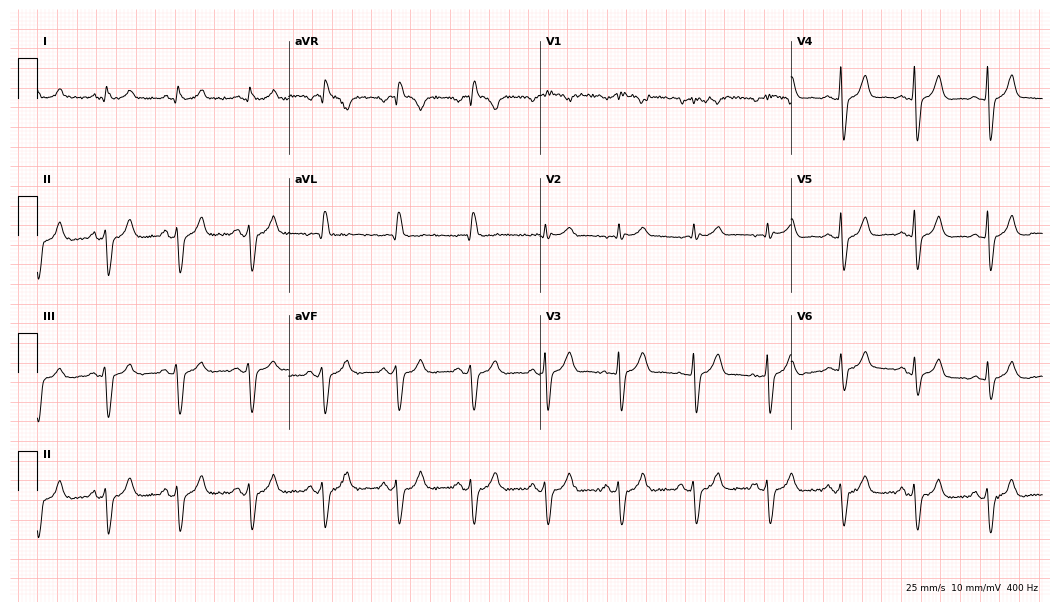
ECG — a man, 66 years old. Screened for six findings — first-degree AV block, right bundle branch block (RBBB), left bundle branch block (LBBB), sinus bradycardia, atrial fibrillation (AF), sinus tachycardia — none is recorded.